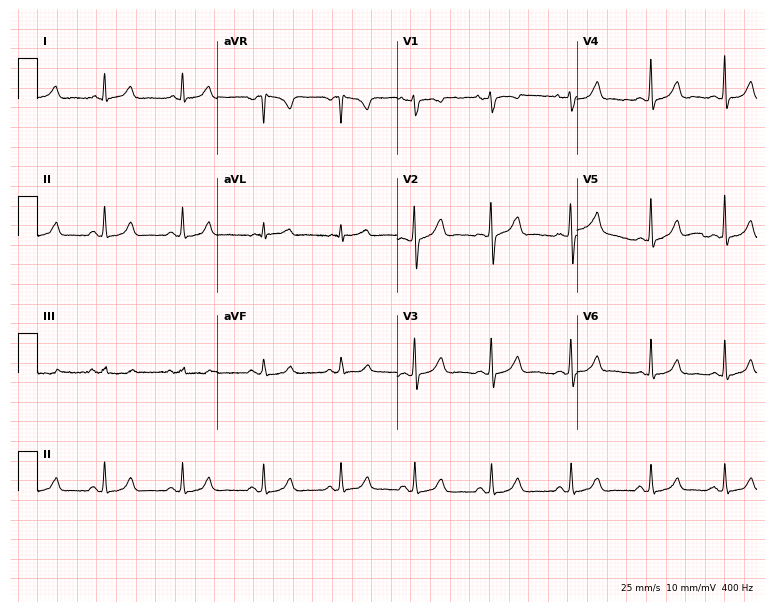
Resting 12-lead electrocardiogram. Patient: a 36-year-old woman. Read as a normal ECG.